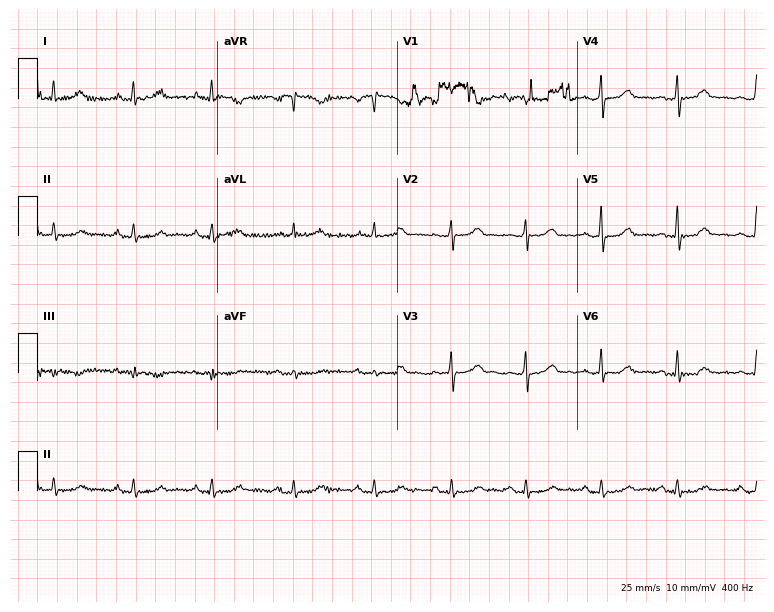
12-lead ECG (7.3-second recording at 400 Hz) from a 36-year-old female patient. Screened for six findings — first-degree AV block, right bundle branch block, left bundle branch block, sinus bradycardia, atrial fibrillation, sinus tachycardia — none is recorded.